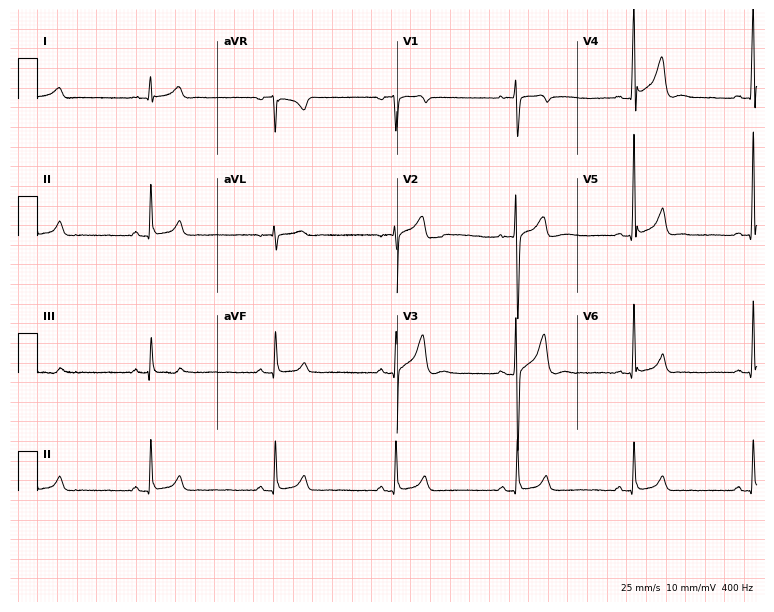
12-lead ECG from a man, 32 years old. Shows sinus bradycardia (a sinus rate of 50 beats per minute or less).